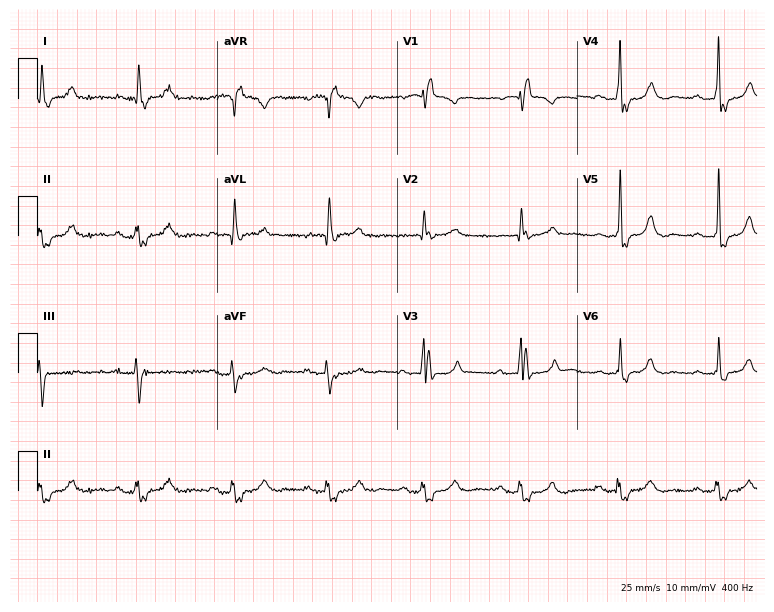
12-lead ECG (7.3-second recording at 400 Hz) from a man, 81 years old. Findings include right bundle branch block.